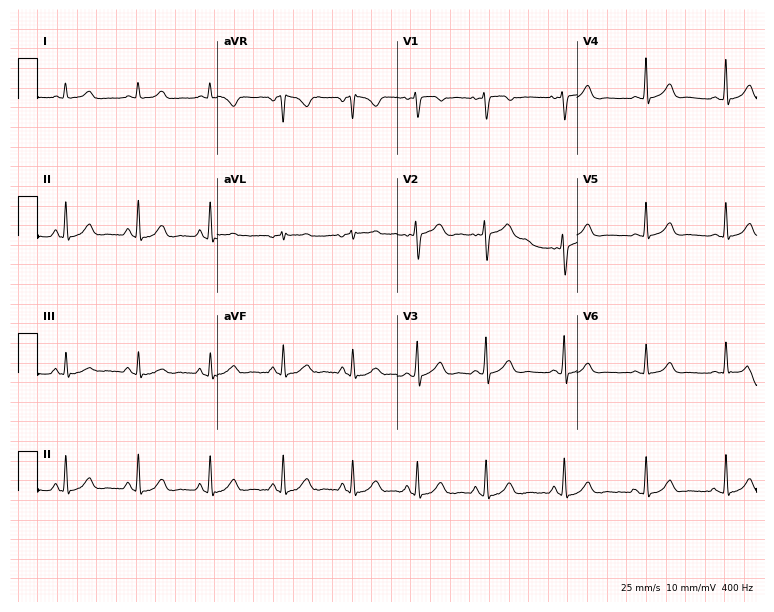
Standard 12-lead ECG recorded from a male, 23 years old. None of these six findings is recorded: first-degree AV block, right bundle branch block (RBBB), left bundle branch block (LBBB), sinus bradycardia, atrial fibrillation (AF), sinus tachycardia.